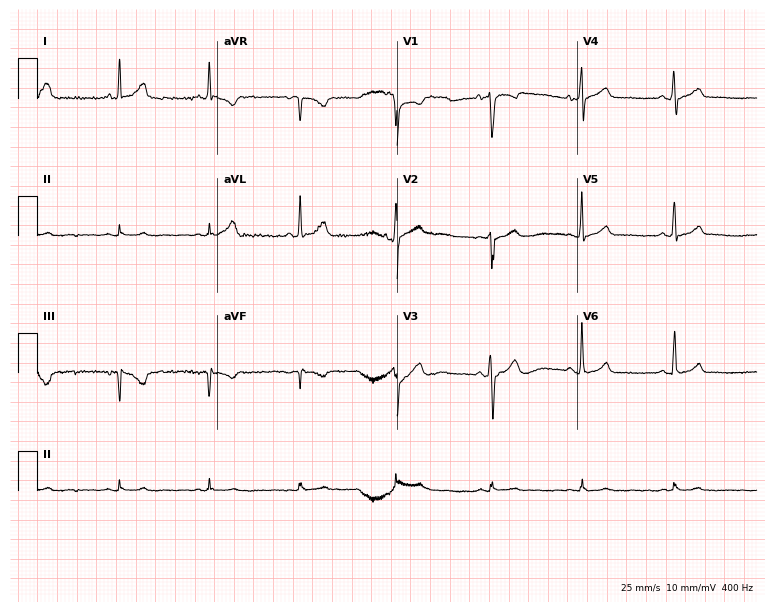
Resting 12-lead electrocardiogram (7.3-second recording at 400 Hz). Patient: a male, 21 years old. Read as a normal ECG.